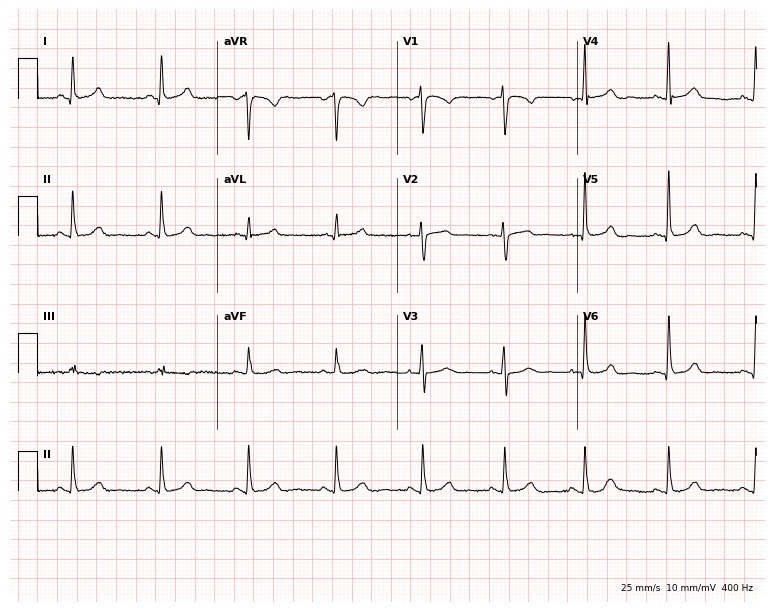
Resting 12-lead electrocardiogram (7.3-second recording at 400 Hz). Patient: a 59-year-old woman. Read as a normal ECG.